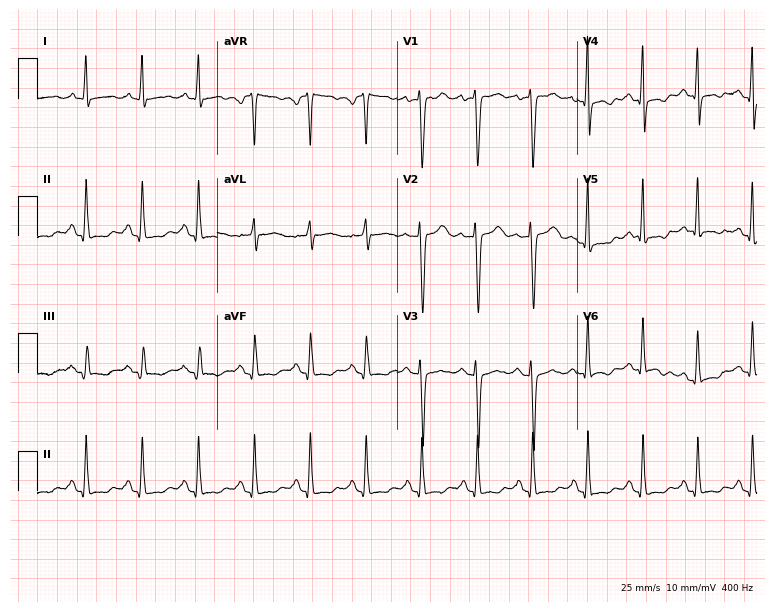
Electrocardiogram, a female, 58 years old. Interpretation includes sinus tachycardia (a sinus rate of 100 beats per minute or more).